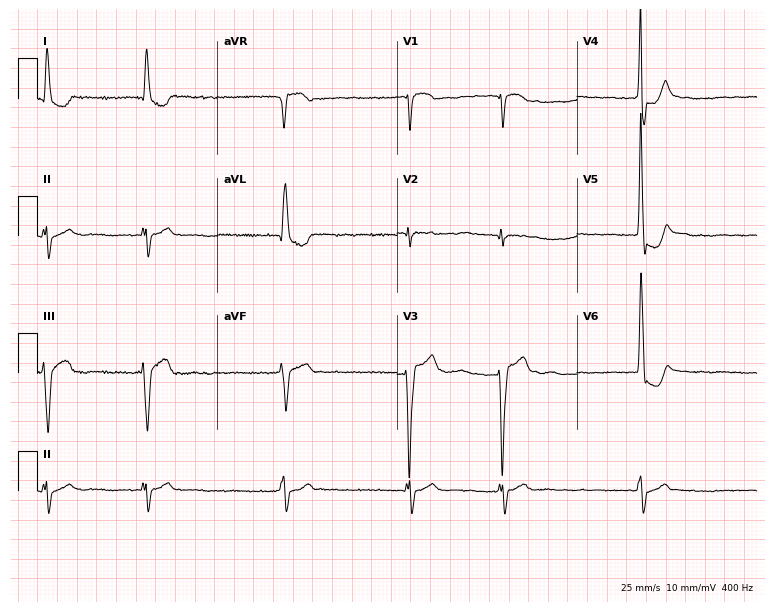
Electrocardiogram (7.3-second recording at 400 Hz), an 84-year-old female. Of the six screened findings (first-degree AV block, right bundle branch block, left bundle branch block, sinus bradycardia, atrial fibrillation, sinus tachycardia), none is recorded. Other findings, if any, are not listed.